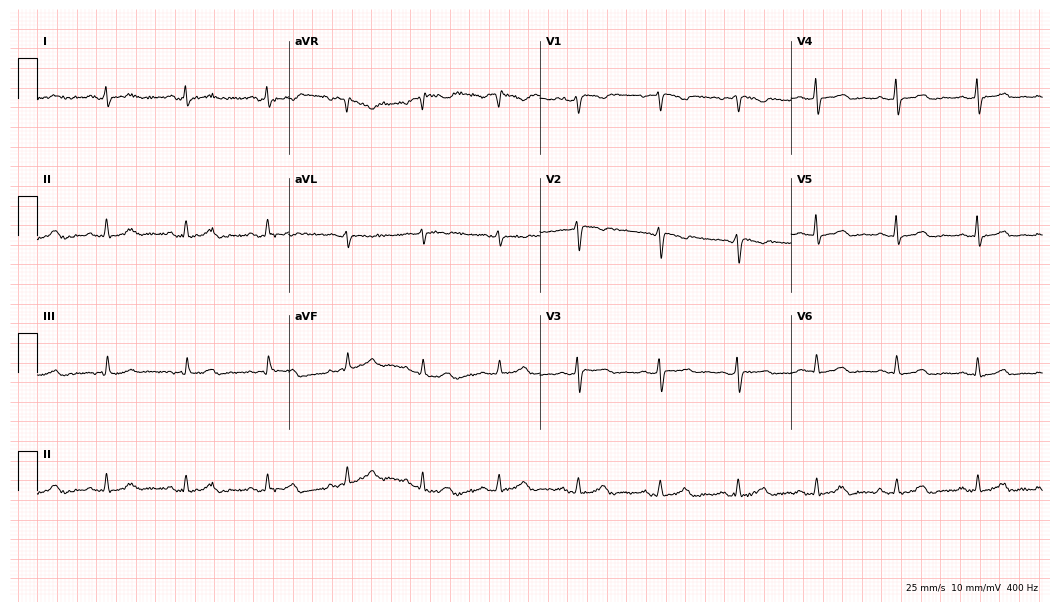
12-lead ECG from a female patient, 45 years old. Screened for six findings — first-degree AV block, right bundle branch block, left bundle branch block, sinus bradycardia, atrial fibrillation, sinus tachycardia — none is recorded.